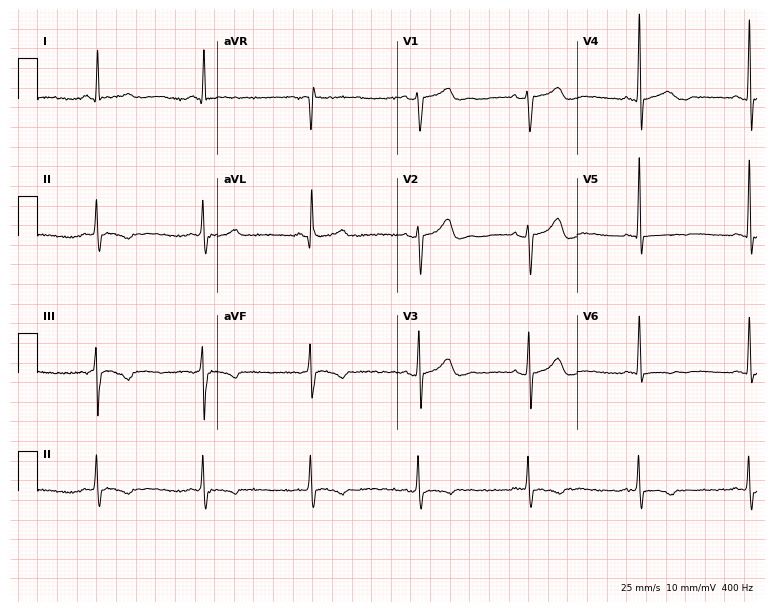
12-lead ECG from a 62-year-old male patient (7.3-second recording at 400 Hz). No first-degree AV block, right bundle branch block, left bundle branch block, sinus bradycardia, atrial fibrillation or sinus tachycardia recorded for this tracing. Findings outside these six are not listed.